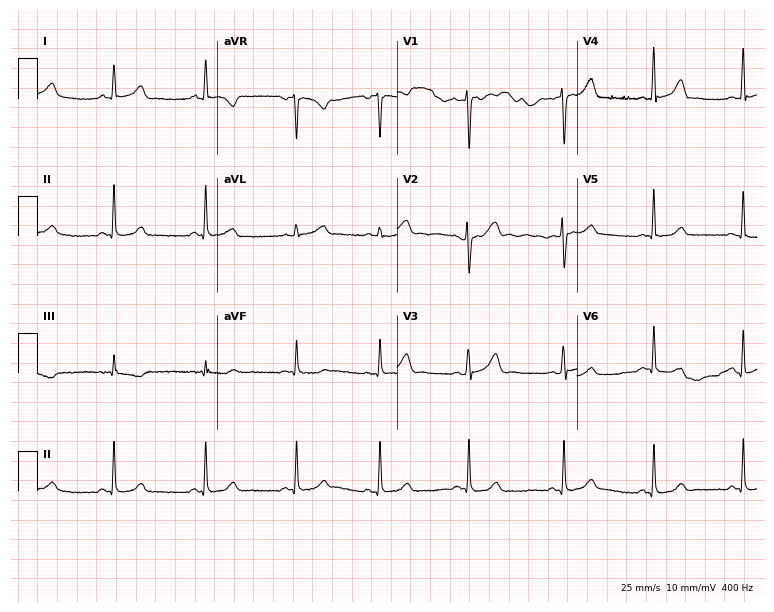
12-lead ECG (7.3-second recording at 400 Hz) from a woman, 28 years old. Labelled as a normal ECG.